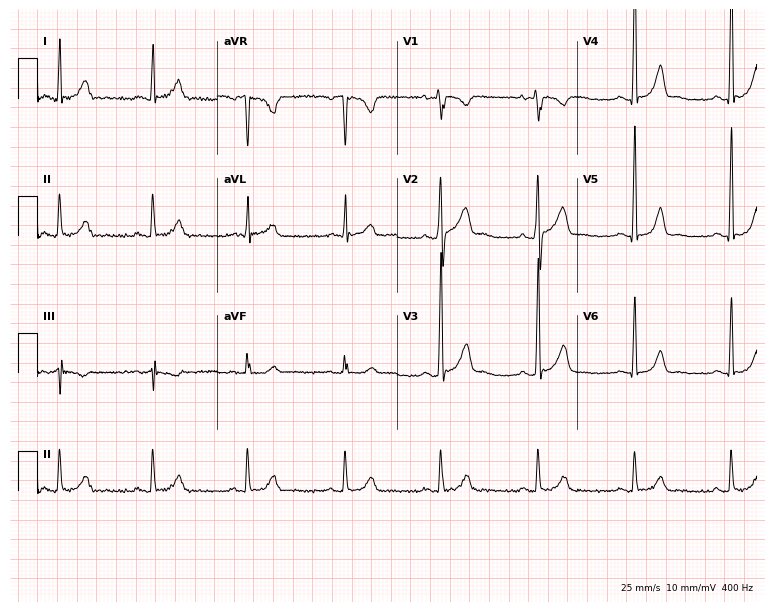
12-lead ECG from a 49-year-old man. Recorded interpretation: within normal limits.